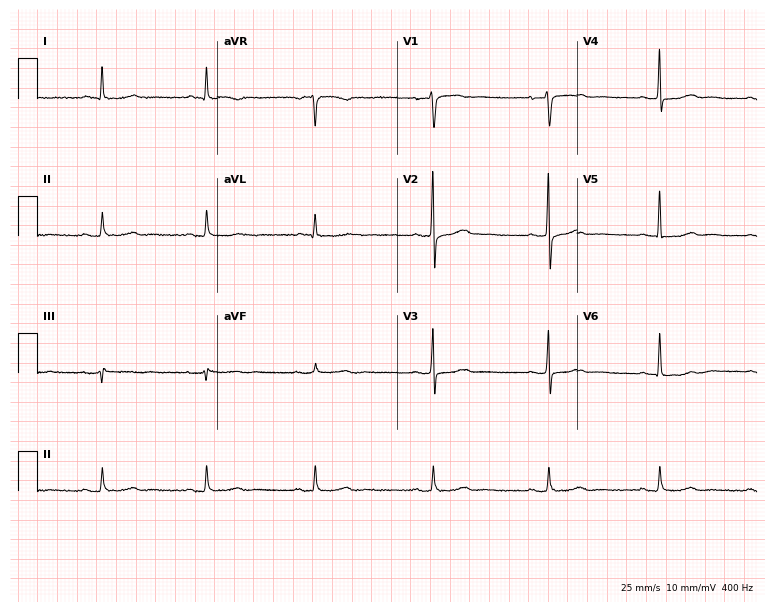
12-lead ECG (7.3-second recording at 400 Hz) from a woman, 55 years old. Screened for six findings — first-degree AV block, right bundle branch block, left bundle branch block, sinus bradycardia, atrial fibrillation, sinus tachycardia — none is recorded.